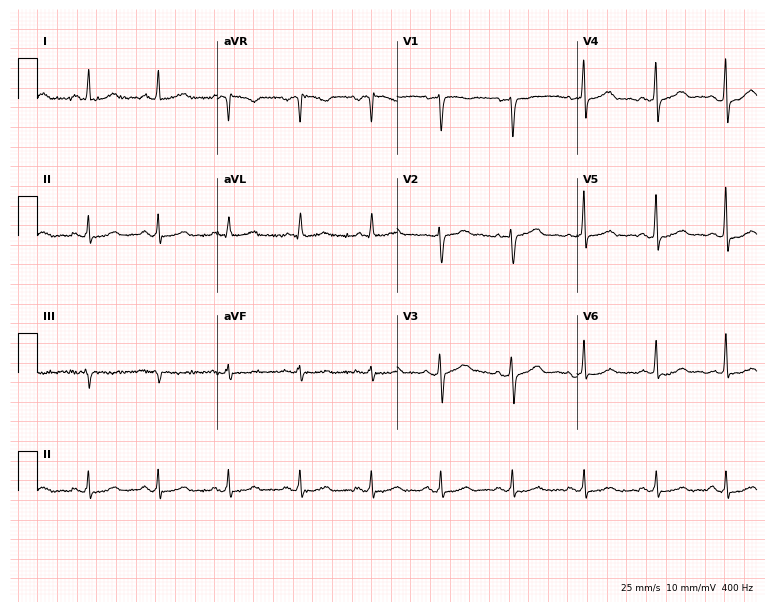
ECG (7.3-second recording at 400 Hz) — a 65-year-old female. Screened for six findings — first-degree AV block, right bundle branch block, left bundle branch block, sinus bradycardia, atrial fibrillation, sinus tachycardia — none is recorded. Only these six findings were labelled.